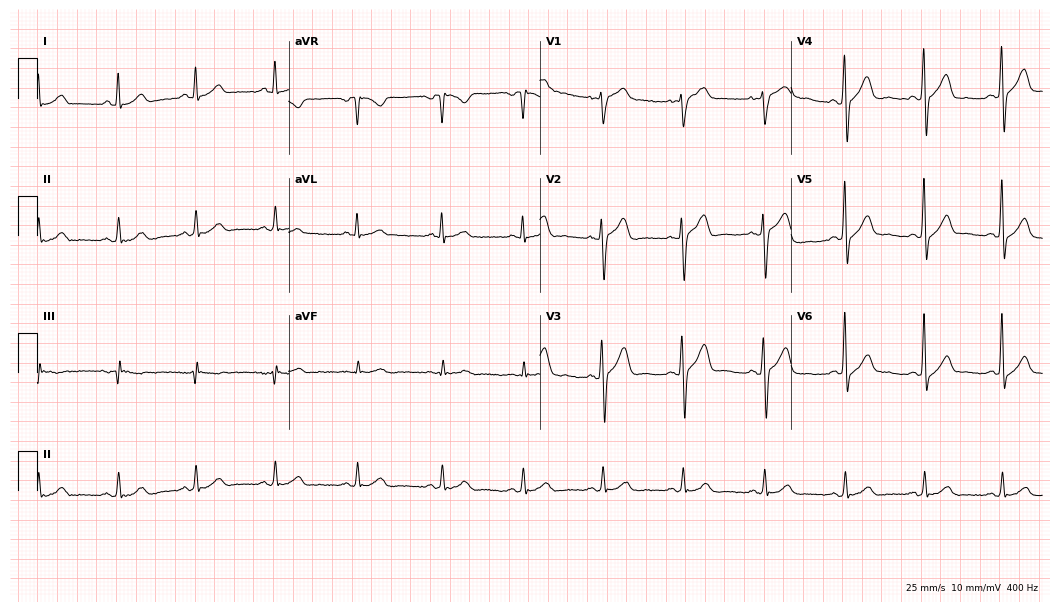
ECG — a male, 43 years old. Labelled as a normal ECG.